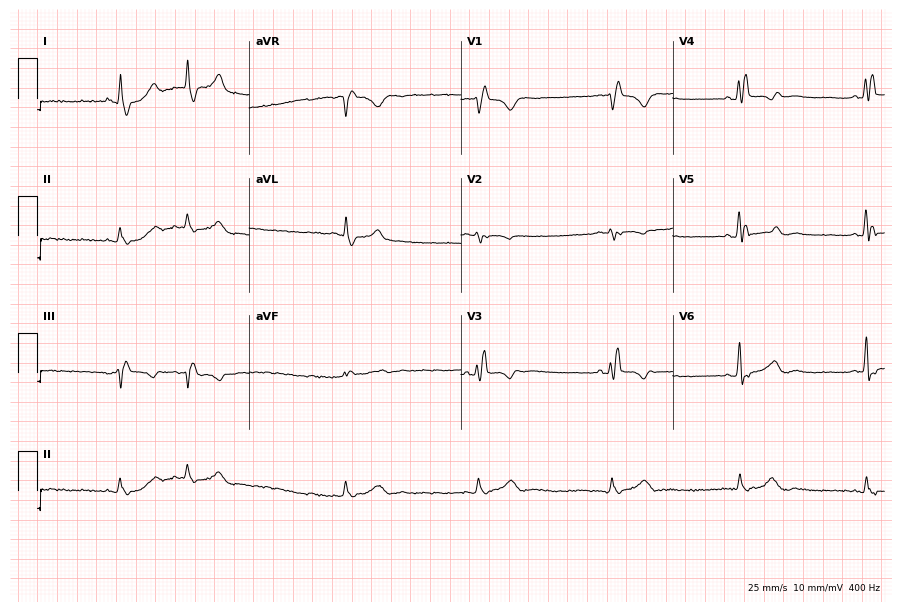
ECG — a man, 52 years old. Findings include right bundle branch block (RBBB), sinus bradycardia (a sinus rate of 50 beats per minute or less).